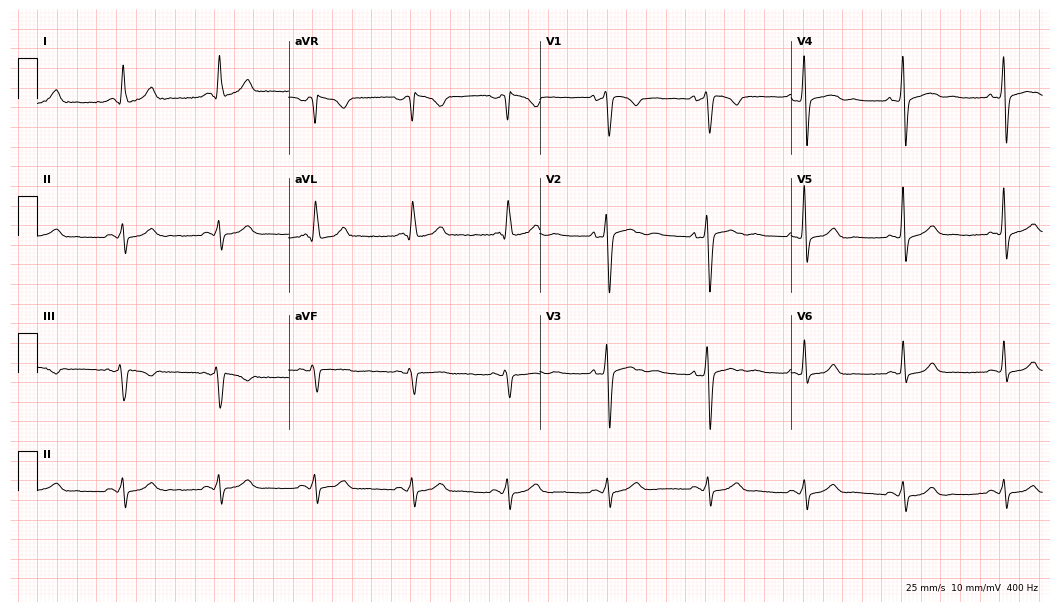
Standard 12-lead ECG recorded from a 46-year-old male patient. None of these six findings is recorded: first-degree AV block, right bundle branch block (RBBB), left bundle branch block (LBBB), sinus bradycardia, atrial fibrillation (AF), sinus tachycardia.